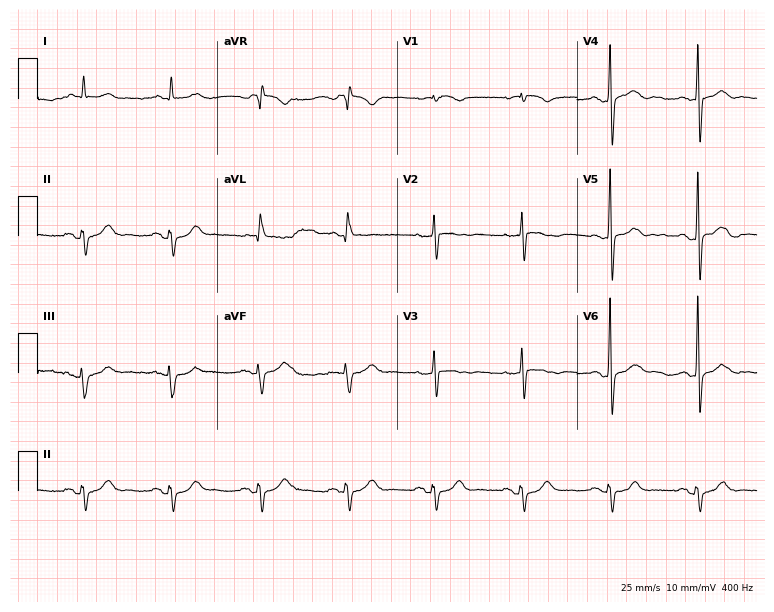
12-lead ECG from an 82-year-old man. Screened for six findings — first-degree AV block, right bundle branch block, left bundle branch block, sinus bradycardia, atrial fibrillation, sinus tachycardia — none is recorded. Only these six findings were labelled.